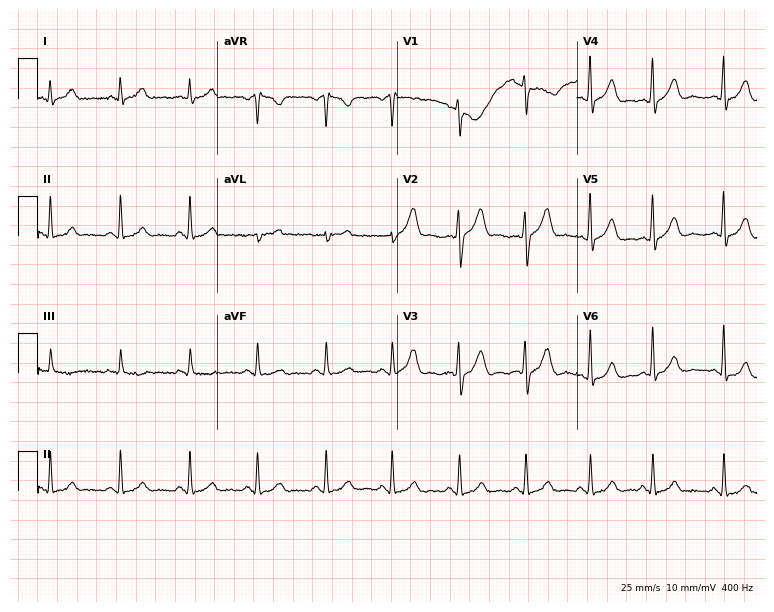
12-lead ECG (7.3-second recording at 400 Hz) from a 49-year-old man. Screened for six findings — first-degree AV block, right bundle branch block (RBBB), left bundle branch block (LBBB), sinus bradycardia, atrial fibrillation (AF), sinus tachycardia — none is recorded. Findings outside these six are not listed.